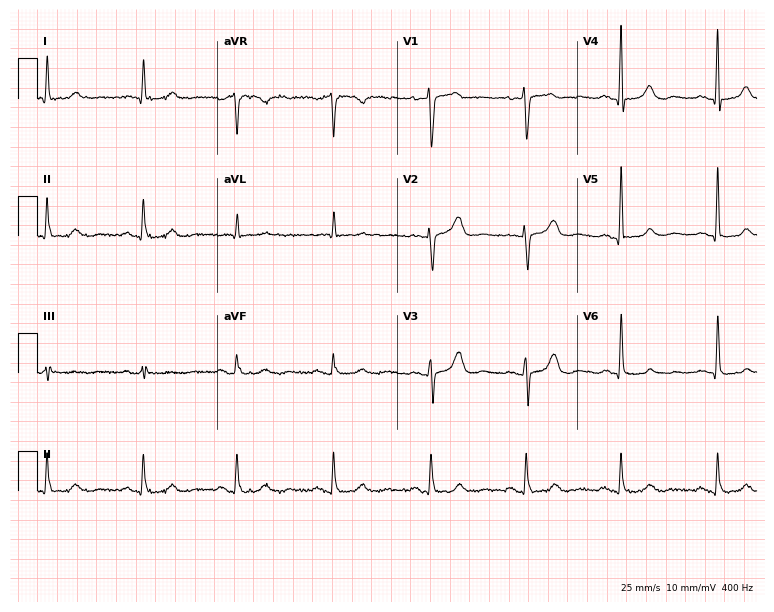
12-lead ECG from a female, 71 years old. Screened for six findings — first-degree AV block, right bundle branch block, left bundle branch block, sinus bradycardia, atrial fibrillation, sinus tachycardia — none is recorded.